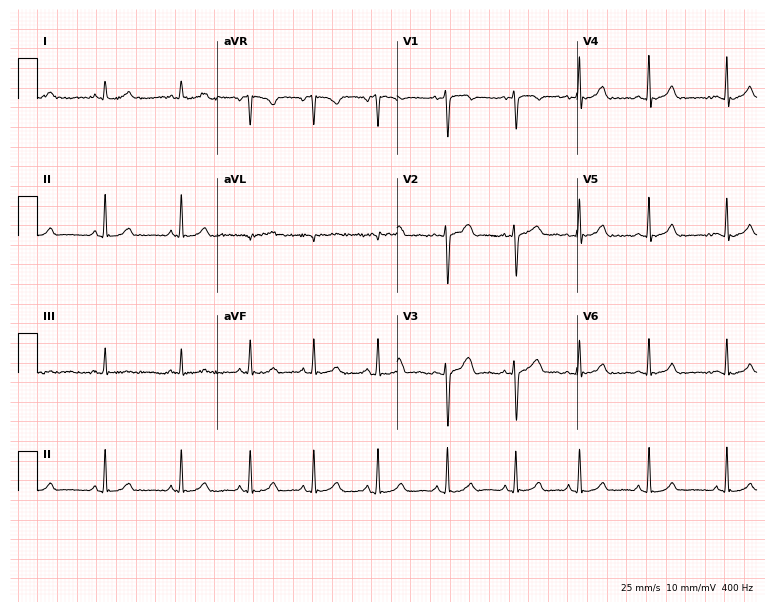
12-lead ECG from a 20-year-old woman. Recorded interpretation: within normal limits.